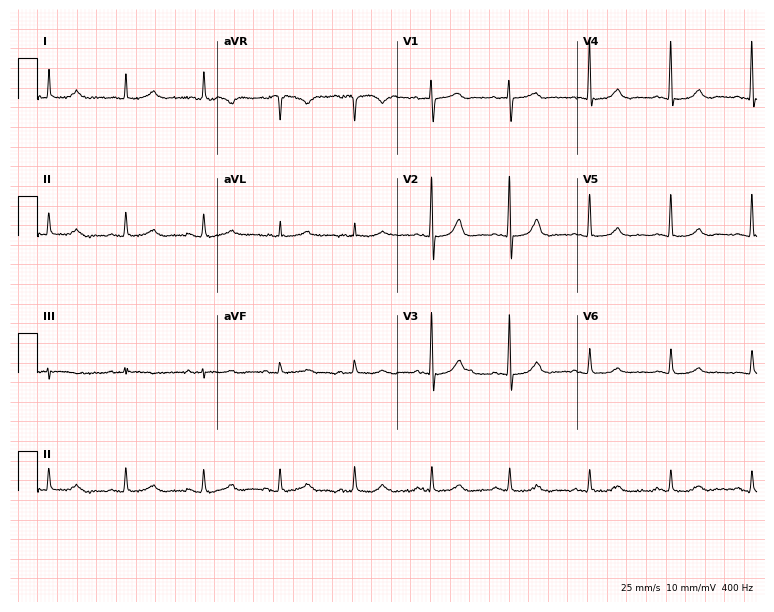
ECG — a female, 76 years old. Labelled as a normal ECG.